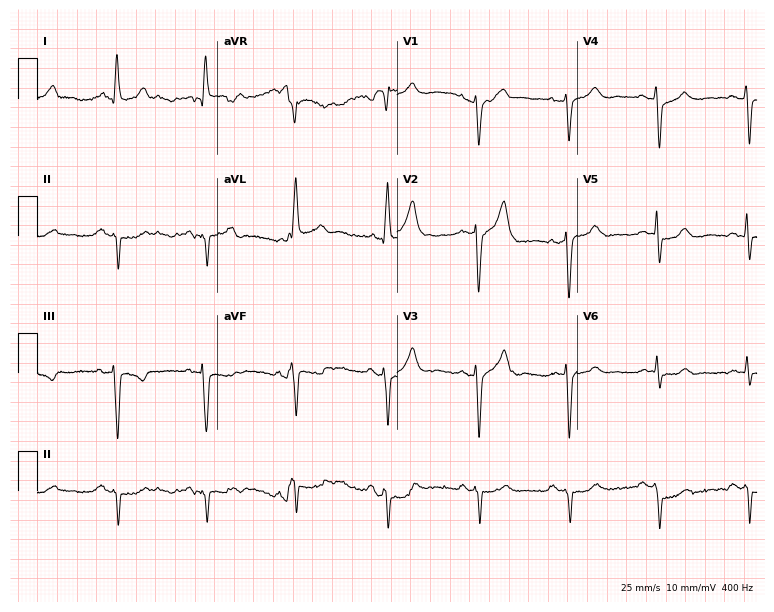
Standard 12-lead ECG recorded from a 58-year-old man. None of these six findings is recorded: first-degree AV block, right bundle branch block, left bundle branch block, sinus bradycardia, atrial fibrillation, sinus tachycardia. Findings outside these six are not listed.